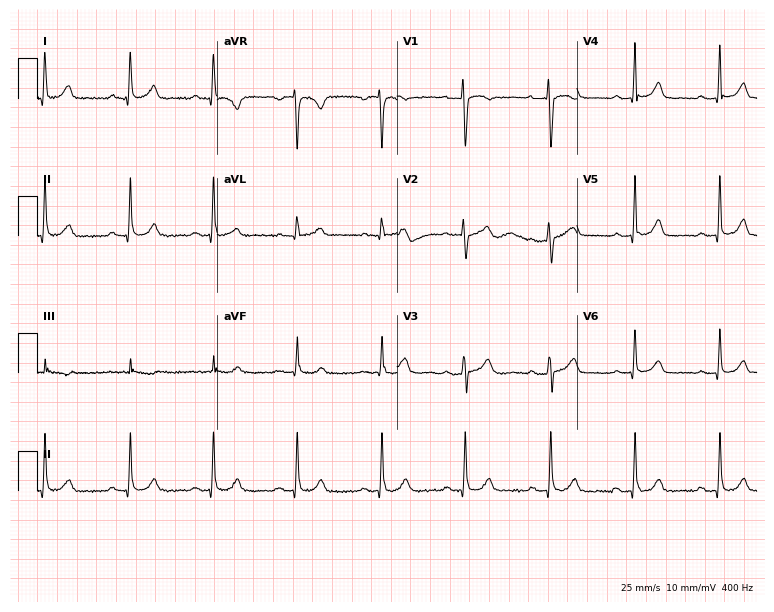
ECG — a woman, 37 years old. Labelled as a normal ECG.